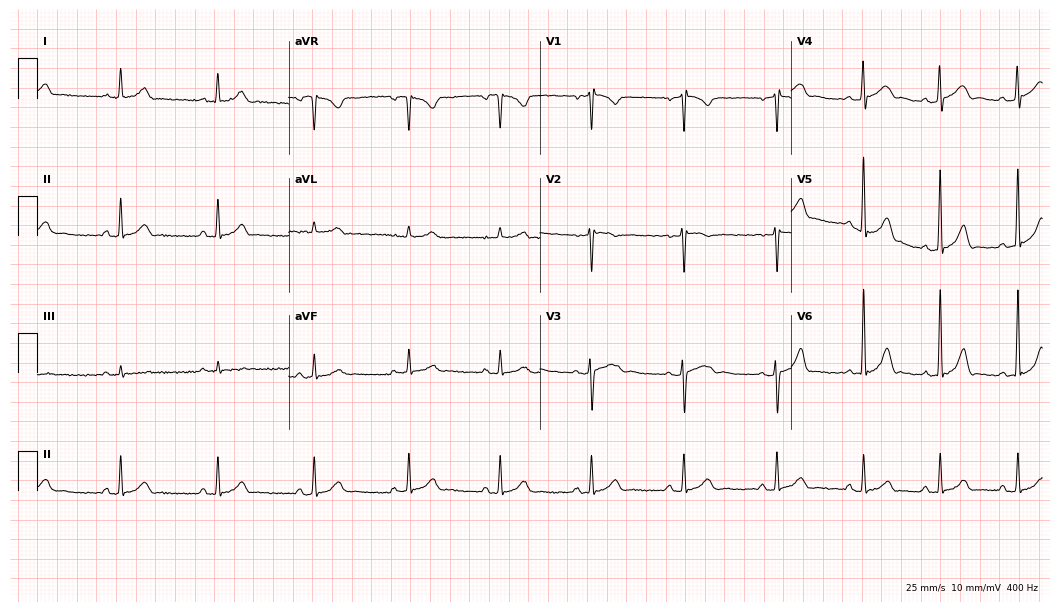
Resting 12-lead electrocardiogram (10.2-second recording at 400 Hz). Patient: a woman, 34 years old. None of these six findings is recorded: first-degree AV block, right bundle branch block (RBBB), left bundle branch block (LBBB), sinus bradycardia, atrial fibrillation (AF), sinus tachycardia.